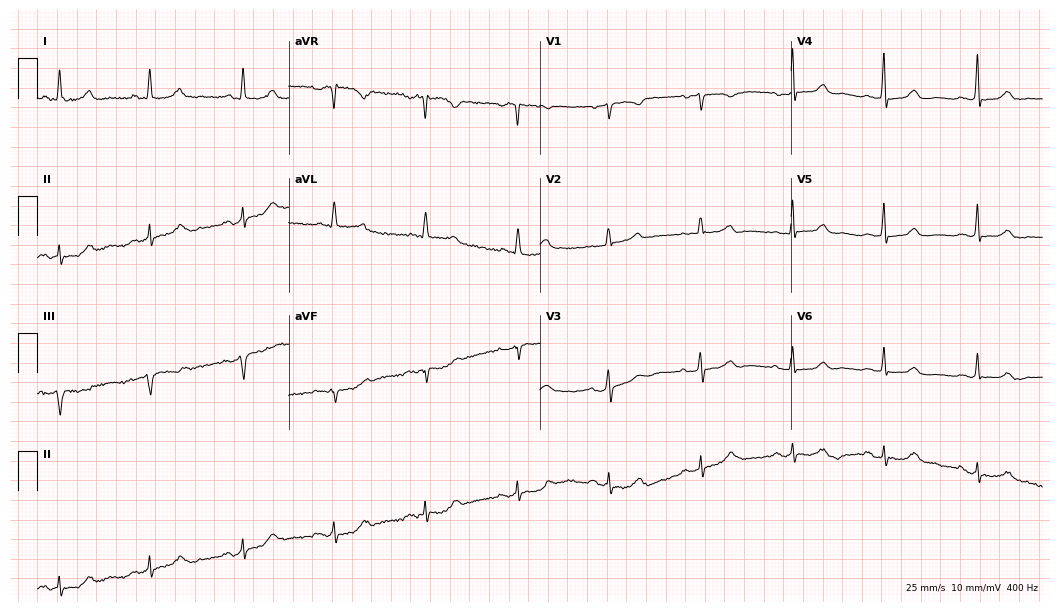
Resting 12-lead electrocardiogram. Patient: an 84-year-old female. Read as a normal ECG.